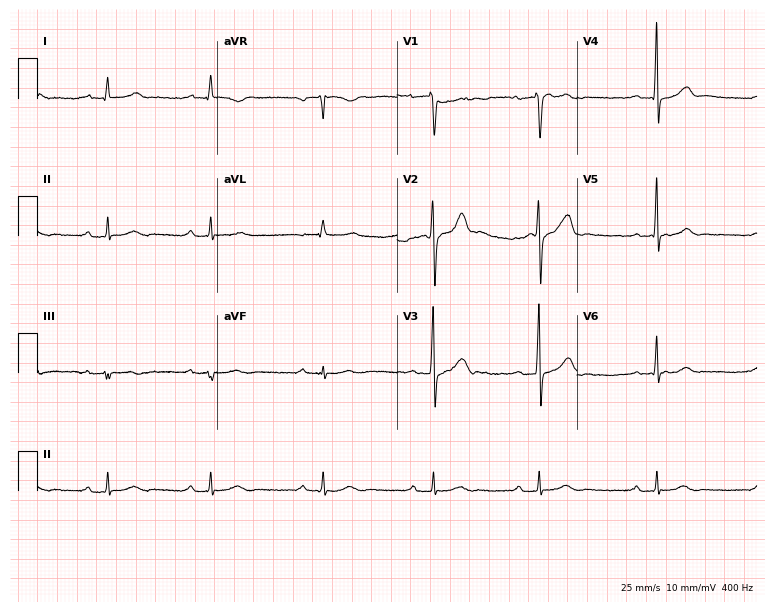
Resting 12-lead electrocardiogram (7.3-second recording at 400 Hz). Patient: a male, 38 years old. The tracing shows first-degree AV block.